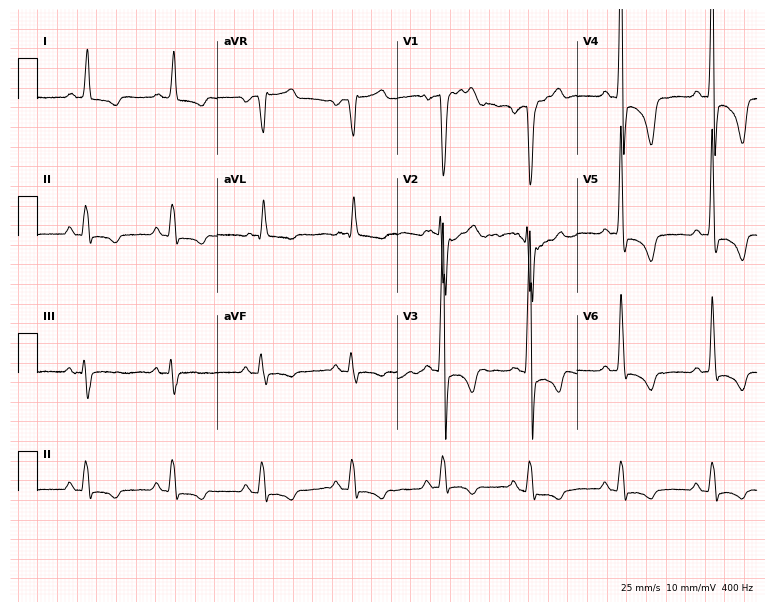
Electrocardiogram, a man, 85 years old. Of the six screened findings (first-degree AV block, right bundle branch block, left bundle branch block, sinus bradycardia, atrial fibrillation, sinus tachycardia), none is recorded.